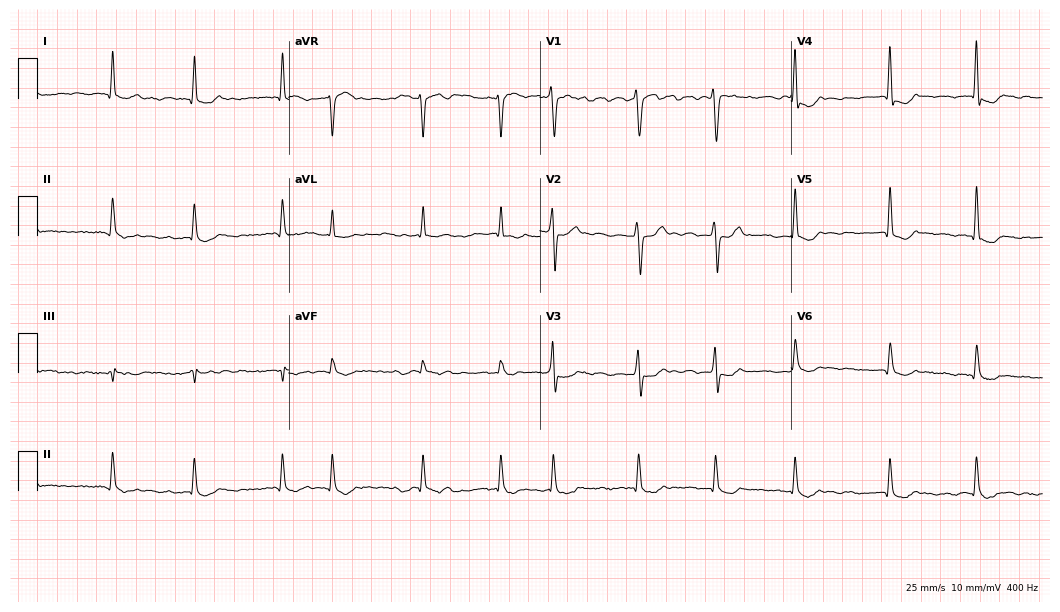
ECG — a 68-year-old female patient. Findings include atrial fibrillation.